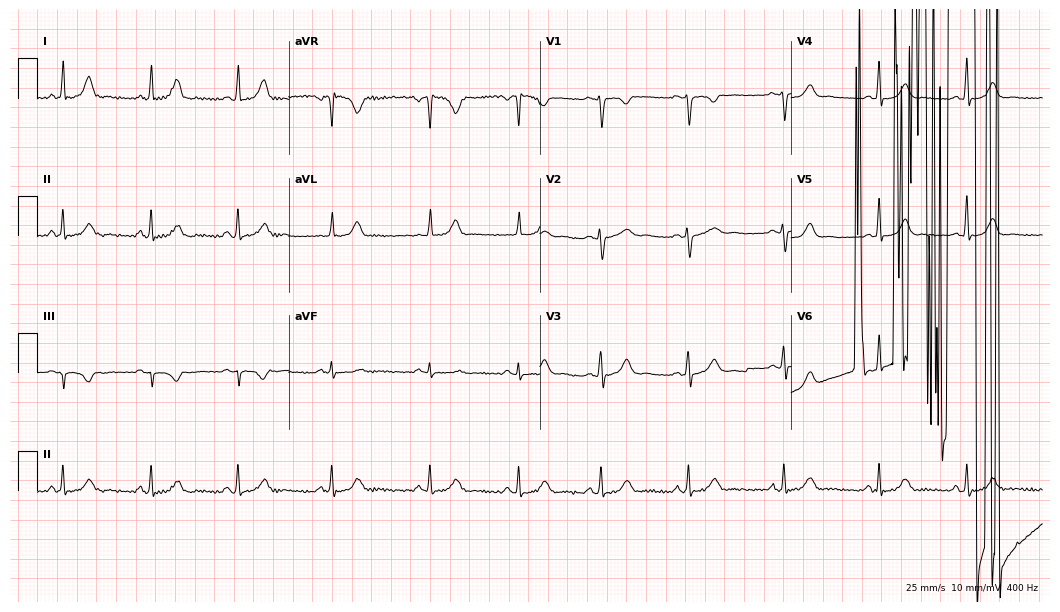
12-lead ECG from a female, 25 years old. Screened for six findings — first-degree AV block, right bundle branch block, left bundle branch block, sinus bradycardia, atrial fibrillation, sinus tachycardia — none is recorded.